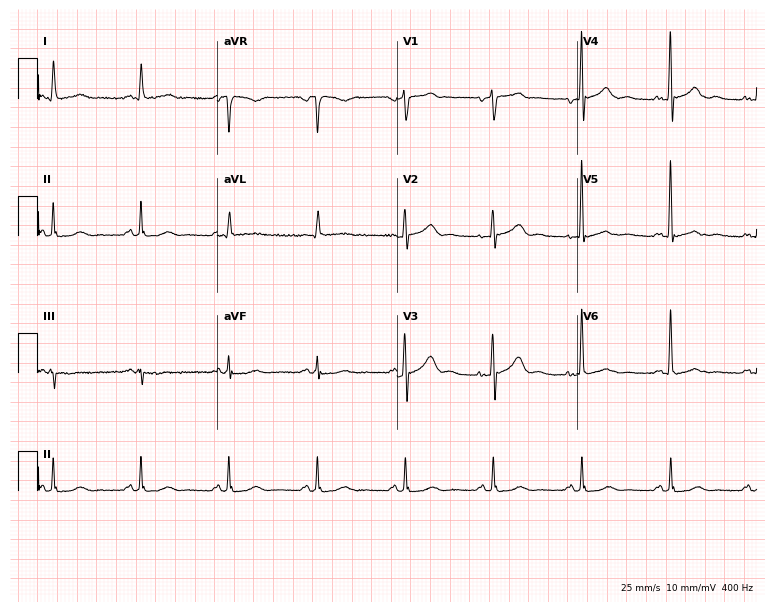
12-lead ECG from a woman, 73 years old (7.3-second recording at 400 Hz). No first-degree AV block, right bundle branch block, left bundle branch block, sinus bradycardia, atrial fibrillation or sinus tachycardia recorded for this tracing.